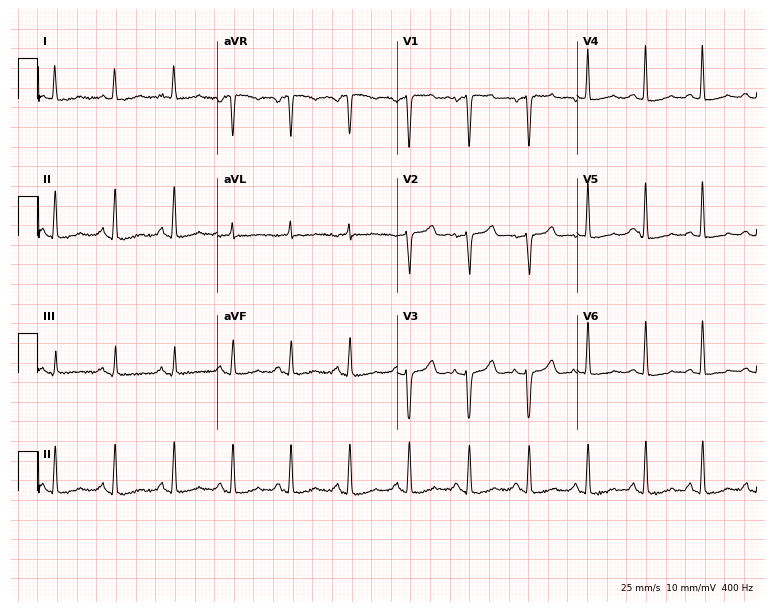
Electrocardiogram (7.3-second recording at 400 Hz), a female, 80 years old. Interpretation includes sinus tachycardia (a sinus rate of 100 beats per minute or more).